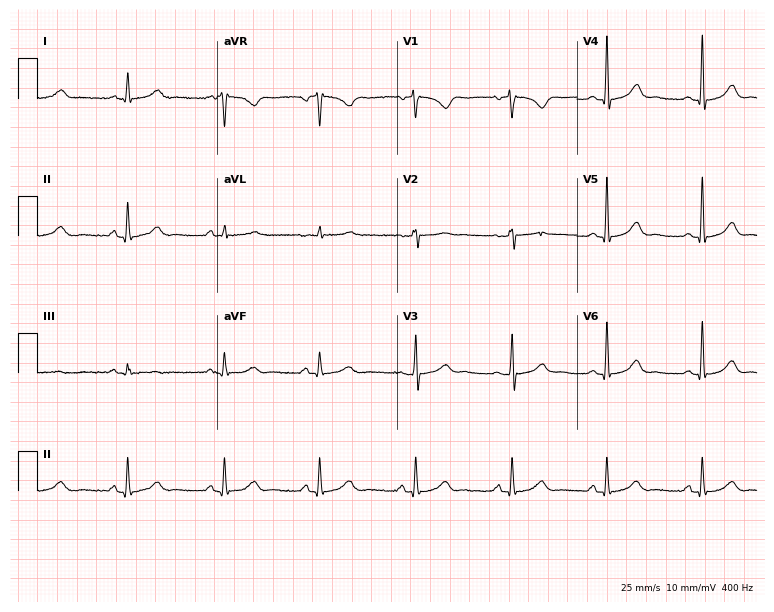
Electrocardiogram (7.3-second recording at 400 Hz), a female patient, 52 years old. Overall reading on record: normal ECG.